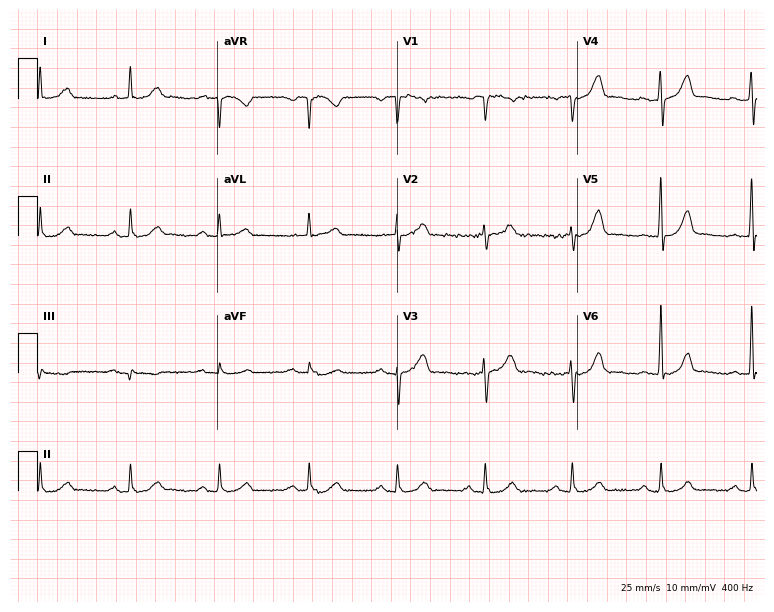
ECG (7.3-second recording at 400 Hz) — a man, 67 years old. Labelled as a normal ECG.